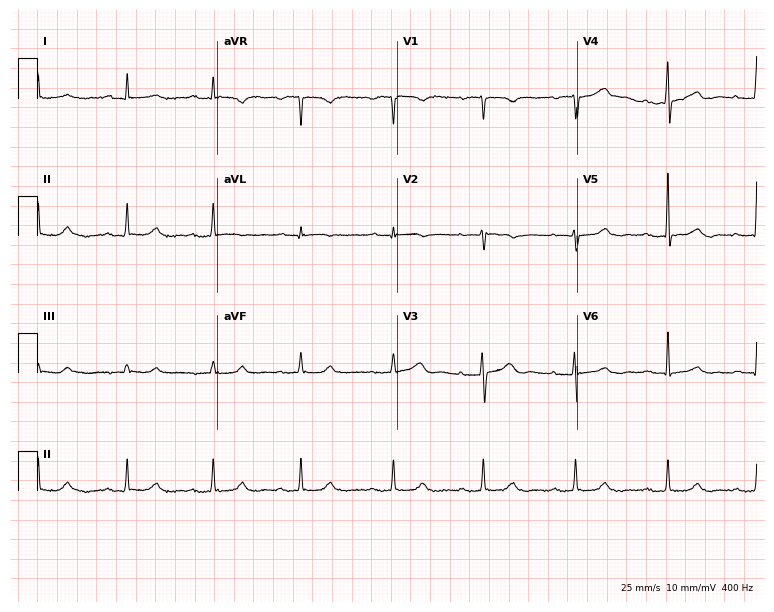
12-lead ECG from a female patient, 51 years old (7.3-second recording at 400 Hz). Shows first-degree AV block.